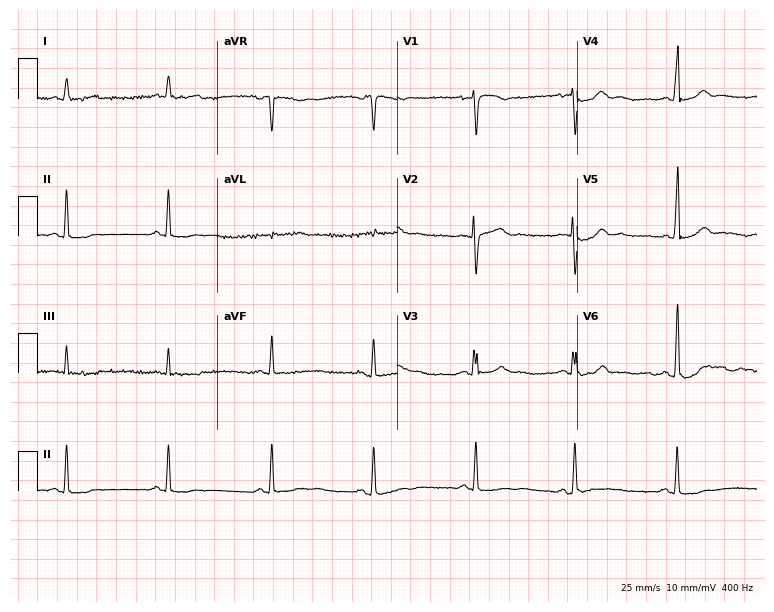
ECG (7.3-second recording at 400 Hz) — a 50-year-old female. Labelled as a normal ECG.